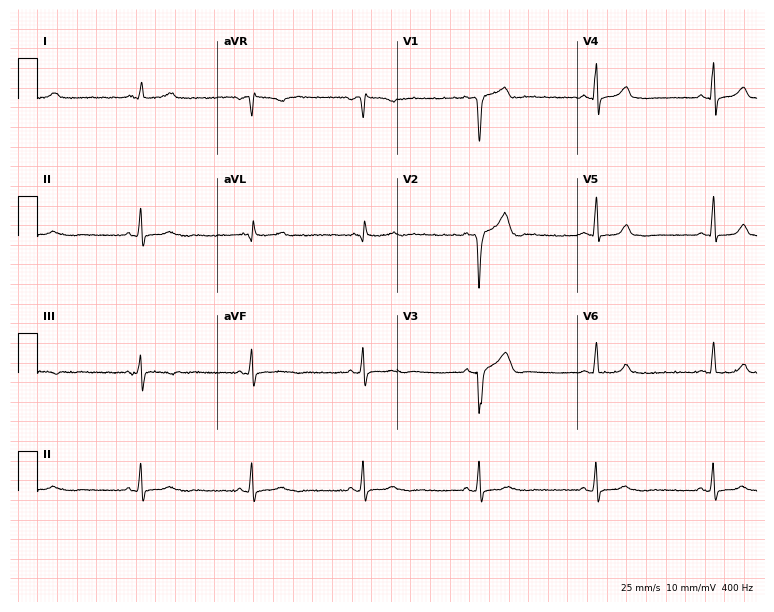
Standard 12-lead ECG recorded from a male, 58 years old. None of these six findings is recorded: first-degree AV block, right bundle branch block, left bundle branch block, sinus bradycardia, atrial fibrillation, sinus tachycardia.